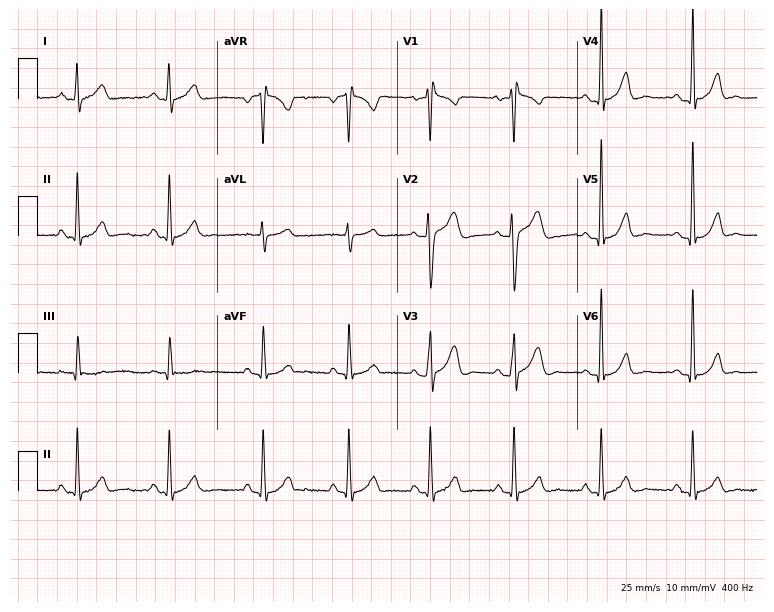
ECG (7.3-second recording at 400 Hz) — a 23-year-old male patient. Labelled as a normal ECG.